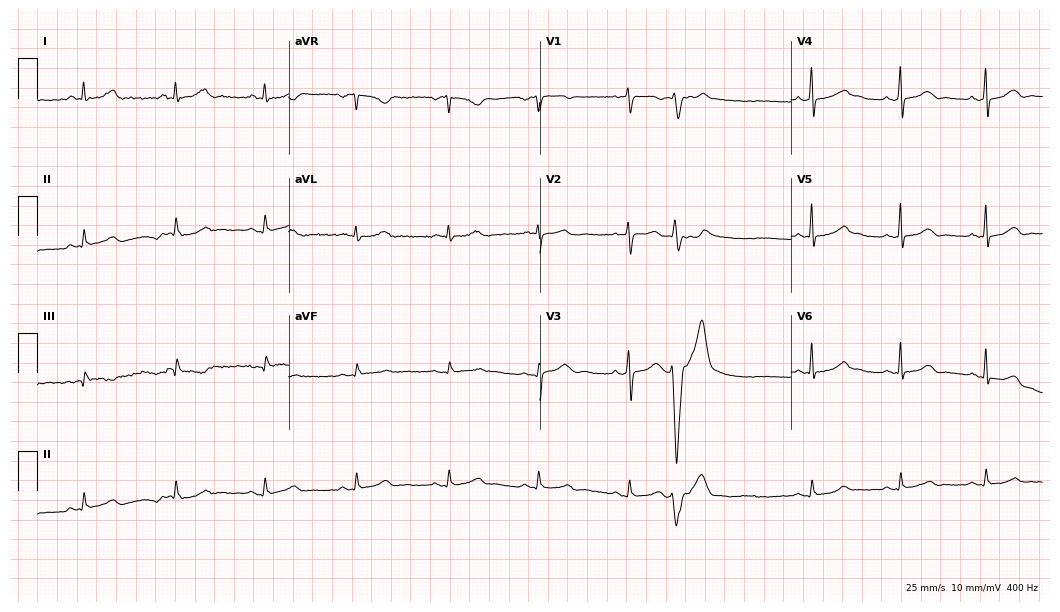
ECG (10.2-second recording at 400 Hz) — a 45-year-old woman. Screened for six findings — first-degree AV block, right bundle branch block (RBBB), left bundle branch block (LBBB), sinus bradycardia, atrial fibrillation (AF), sinus tachycardia — none is recorded. Findings outside these six are not listed.